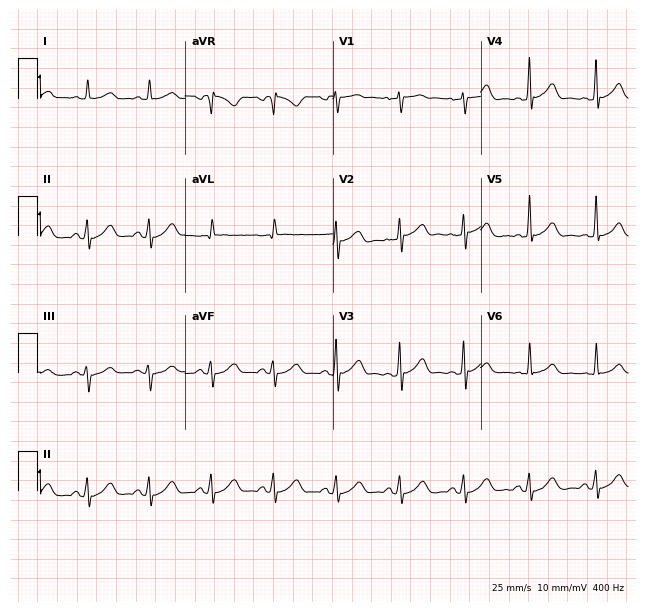
12-lead ECG from a 72-year-old male patient (6-second recording at 400 Hz). No first-degree AV block, right bundle branch block, left bundle branch block, sinus bradycardia, atrial fibrillation or sinus tachycardia recorded for this tracing. Only these six findings were labelled.